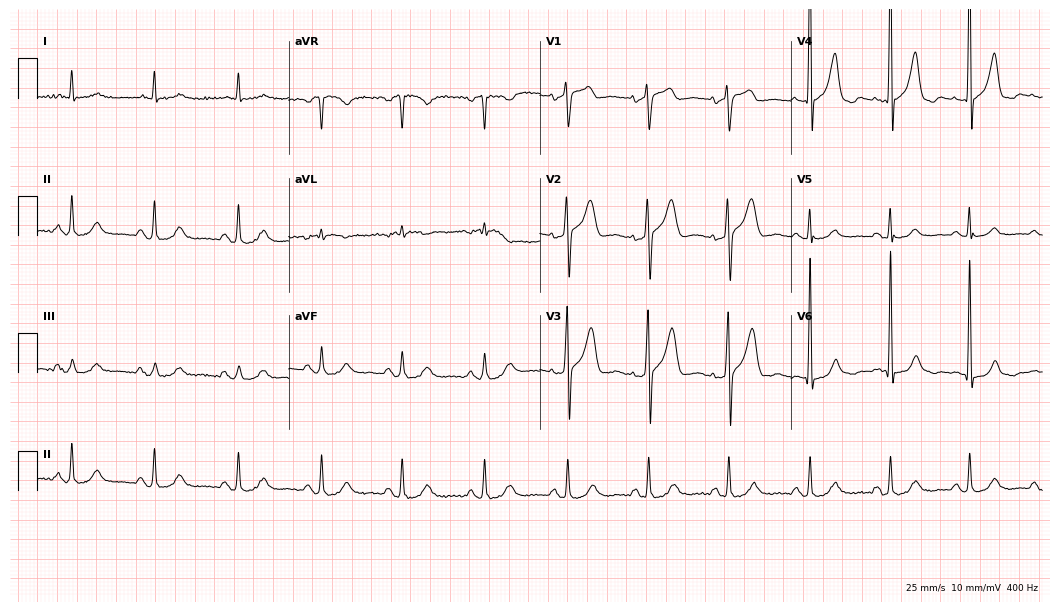
12-lead ECG from an 81-year-old man. Screened for six findings — first-degree AV block, right bundle branch block (RBBB), left bundle branch block (LBBB), sinus bradycardia, atrial fibrillation (AF), sinus tachycardia — none is recorded. Other findings, if any, are not listed.